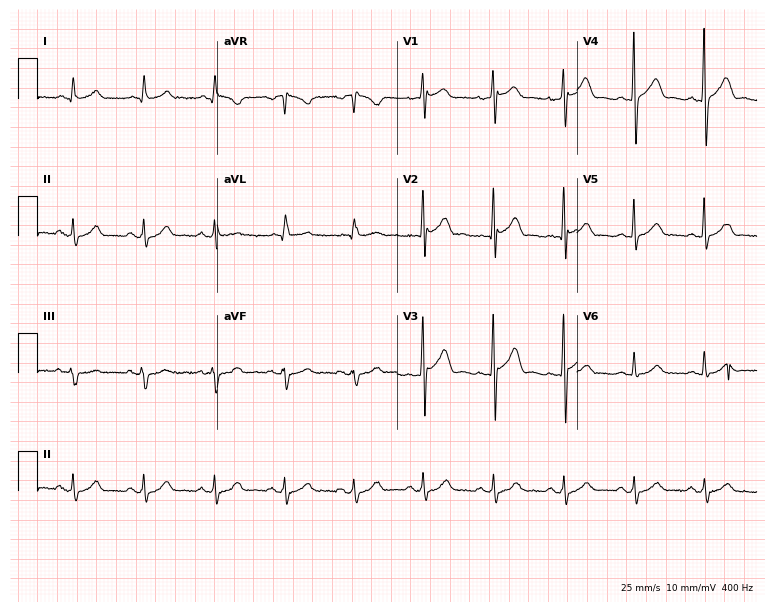
12-lead ECG from a 60-year-old female patient (7.3-second recording at 400 Hz). Recorded interpretation: within normal limits.